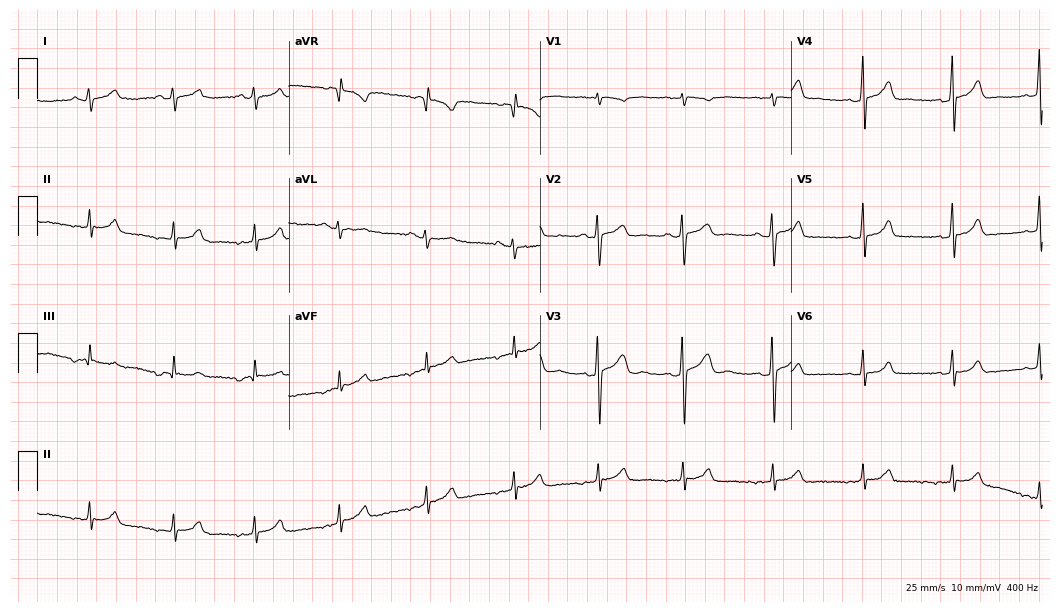
Electrocardiogram (10.2-second recording at 400 Hz), a 24-year-old female patient. Overall reading on record: normal ECG.